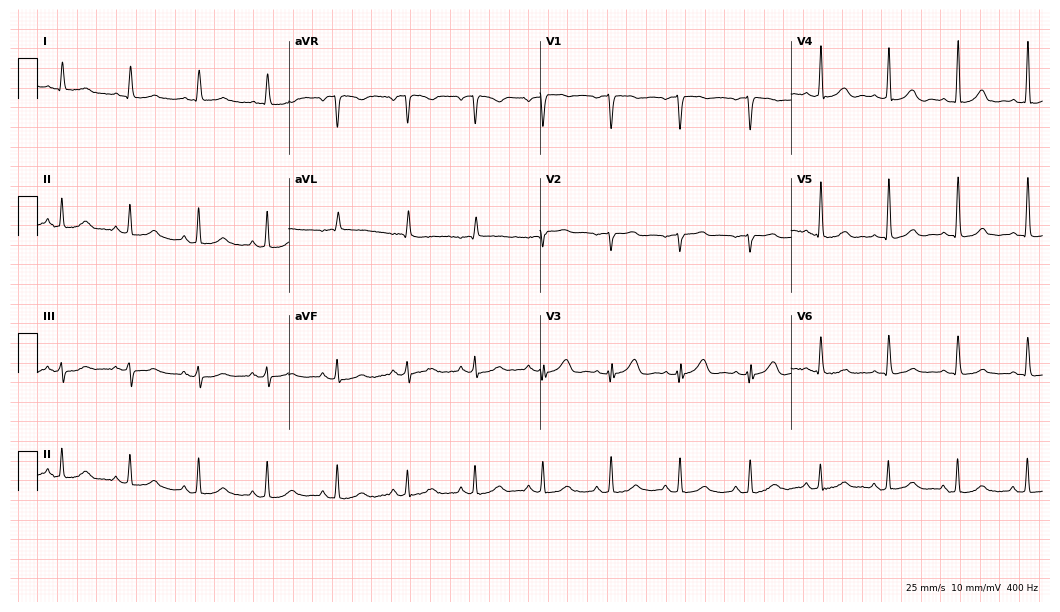
ECG — a female patient, 71 years old. Screened for six findings — first-degree AV block, right bundle branch block, left bundle branch block, sinus bradycardia, atrial fibrillation, sinus tachycardia — none is recorded.